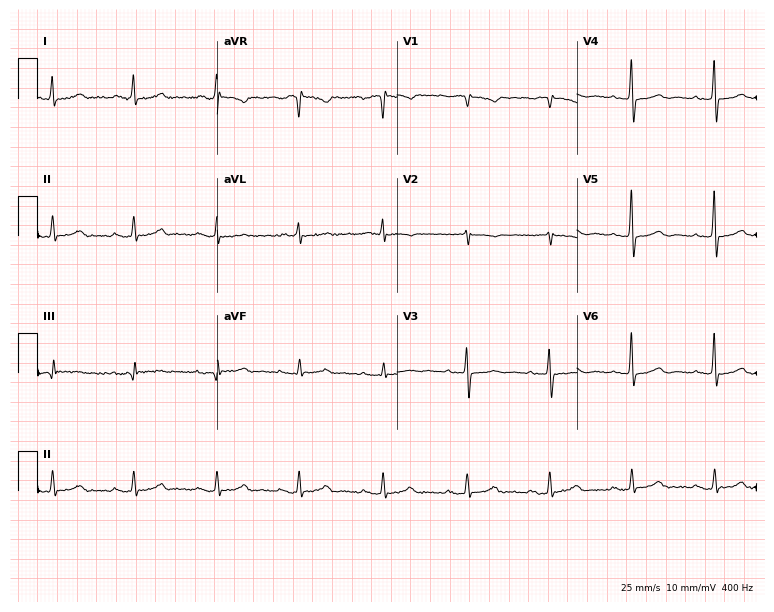
ECG (7.3-second recording at 400 Hz) — a female, 74 years old. Screened for six findings — first-degree AV block, right bundle branch block, left bundle branch block, sinus bradycardia, atrial fibrillation, sinus tachycardia — none is recorded. Findings outside these six are not listed.